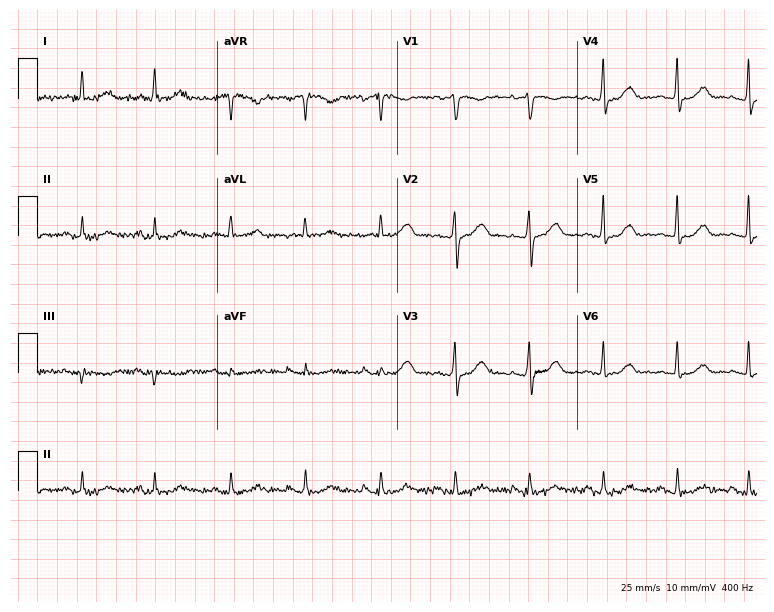
12-lead ECG from a male patient, 82 years old (7.3-second recording at 400 Hz). Recorded interpretation: within normal limits.